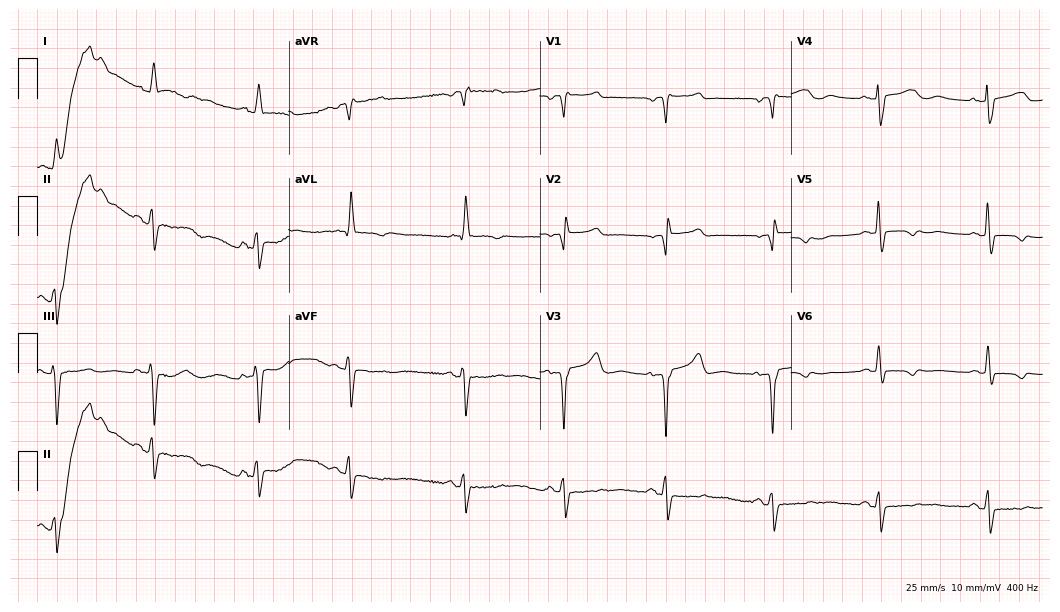
Resting 12-lead electrocardiogram (10.2-second recording at 400 Hz). Patient: a female, 85 years old. None of these six findings is recorded: first-degree AV block, right bundle branch block, left bundle branch block, sinus bradycardia, atrial fibrillation, sinus tachycardia. Findings outside these six are not listed.